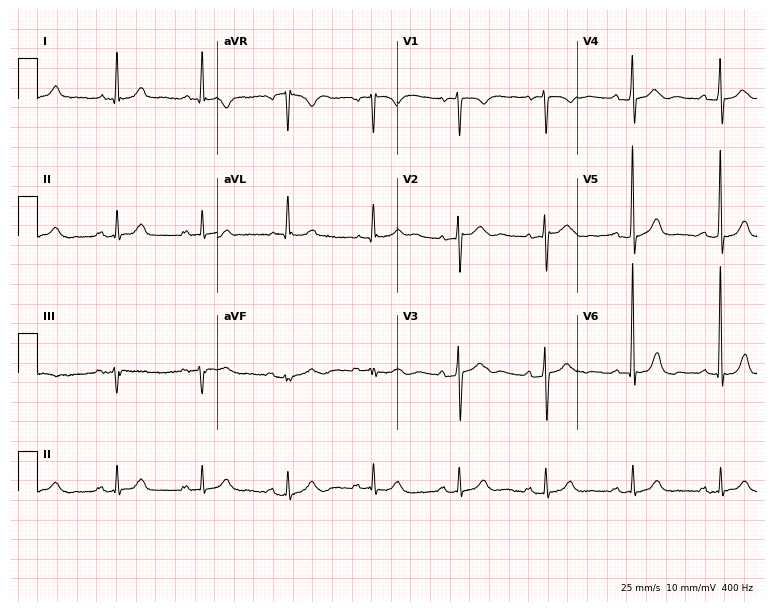
Electrocardiogram (7.3-second recording at 400 Hz), a 60-year-old man. Overall reading on record: normal ECG.